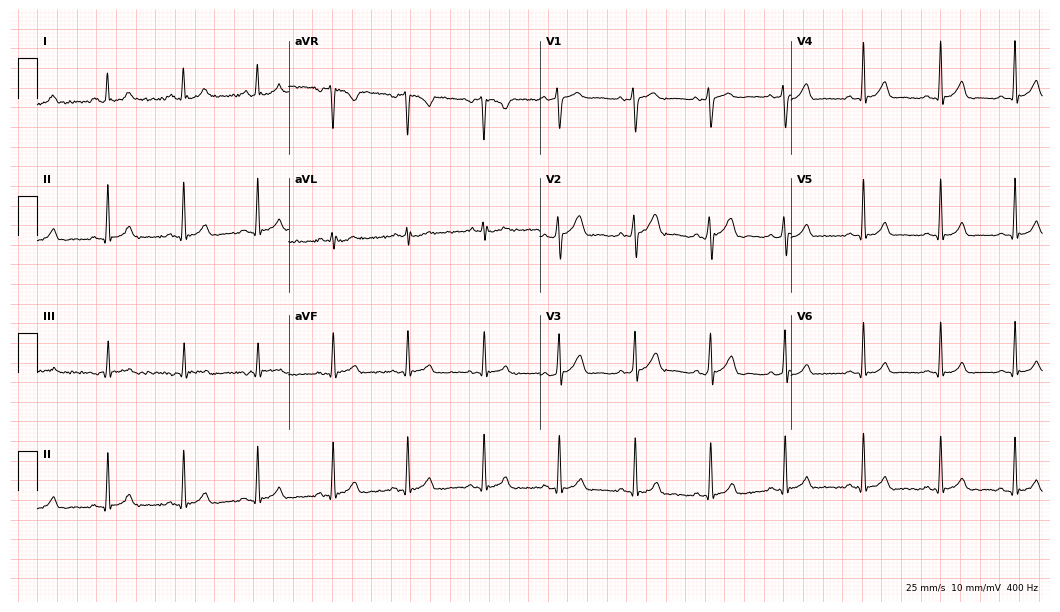
12-lead ECG from a male, 25 years old. Labelled as a normal ECG.